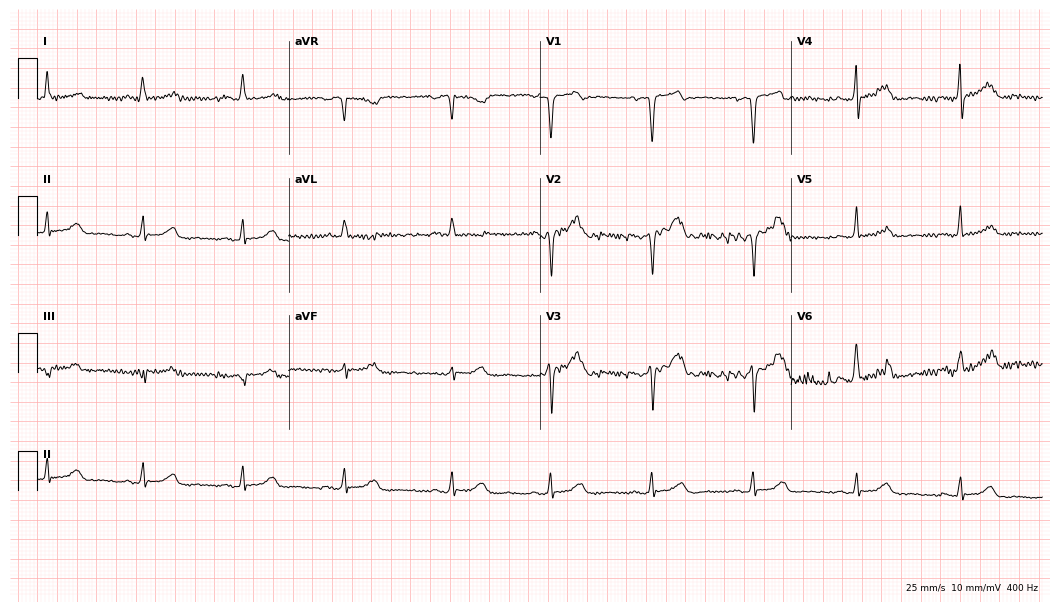
12-lead ECG (10.2-second recording at 400 Hz) from a female patient, 44 years old. Screened for six findings — first-degree AV block, right bundle branch block, left bundle branch block, sinus bradycardia, atrial fibrillation, sinus tachycardia — none is recorded.